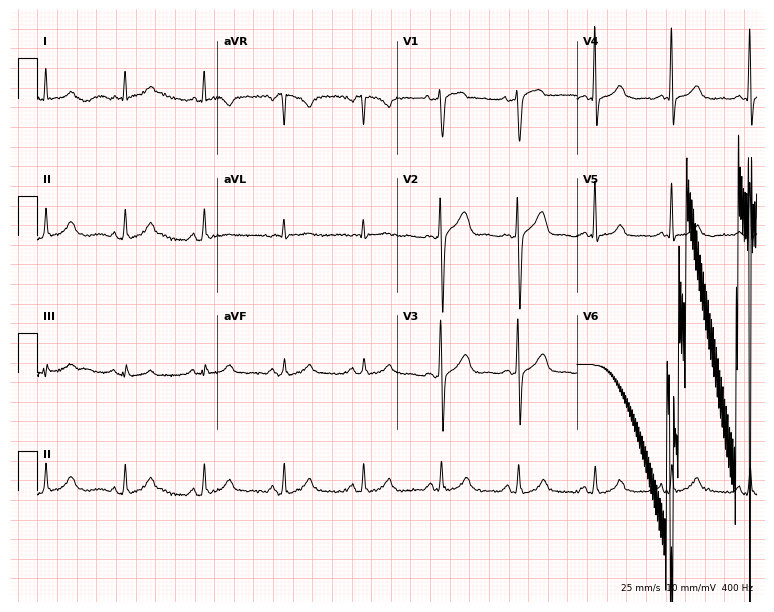
Standard 12-lead ECG recorded from a female patient, 58 years old (7.3-second recording at 400 Hz). None of these six findings is recorded: first-degree AV block, right bundle branch block, left bundle branch block, sinus bradycardia, atrial fibrillation, sinus tachycardia.